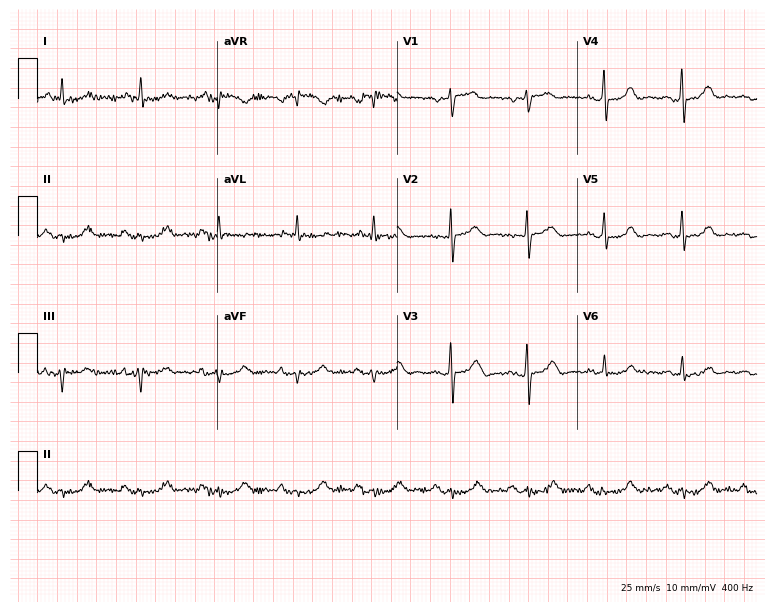
12-lead ECG from a woman, 77 years old (7.3-second recording at 400 Hz). No first-degree AV block, right bundle branch block, left bundle branch block, sinus bradycardia, atrial fibrillation or sinus tachycardia recorded for this tracing. Findings outside these six are not listed.